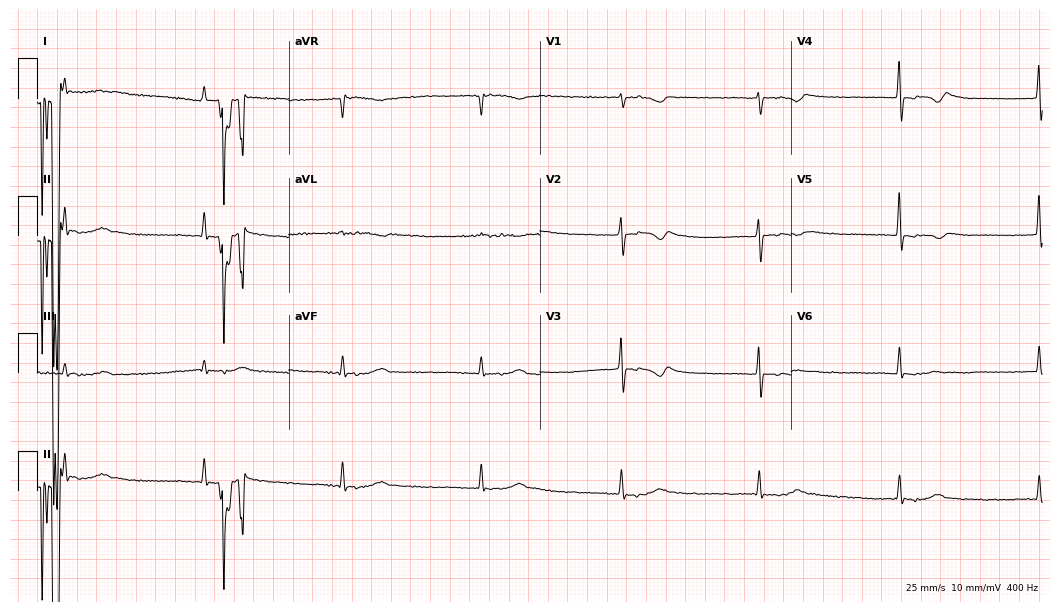
Resting 12-lead electrocardiogram (10.2-second recording at 400 Hz). Patient: a 71-year-old woman. None of these six findings is recorded: first-degree AV block, right bundle branch block, left bundle branch block, sinus bradycardia, atrial fibrillation, sinus tachycardia.